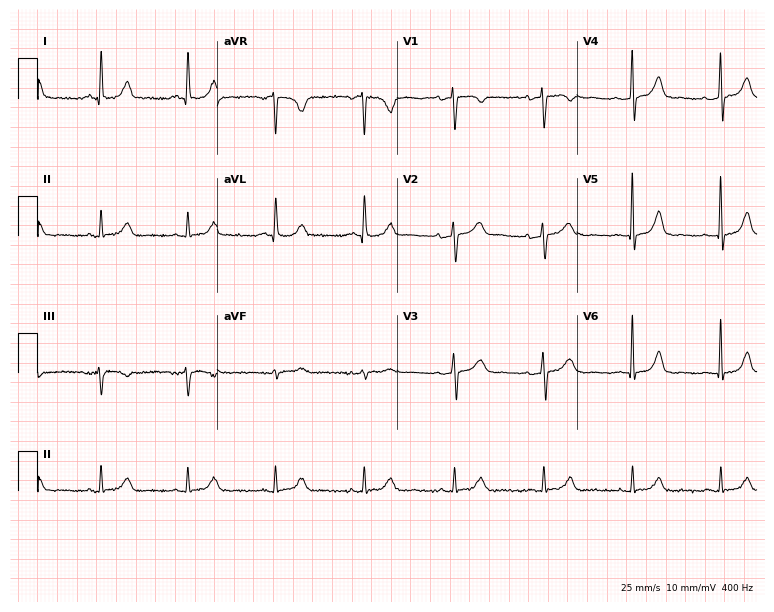
12-lead ECG from a female patient, 62 years old (7.3-second recording at 400 Hz). No first-degree AV block, right bundle branch block, left bundle branch block, sinus bradycardia, atrial fibrillation or sinus tachycardia recorded for this tracing.